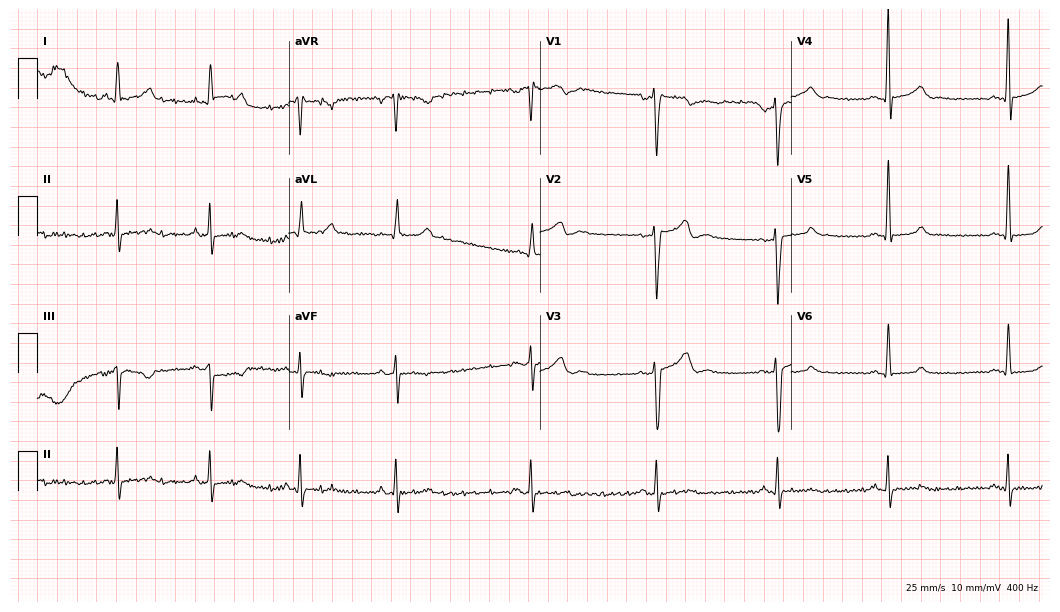
ECG (10.2-second recording at 400 Hz) — a male patient, 31 years old. Screened for six findings — first-degree AV block, right bundle branch block, left bundle branch block, sinus bradycardia, atrial fibrillation, sinus tachycardia — none is recorded.